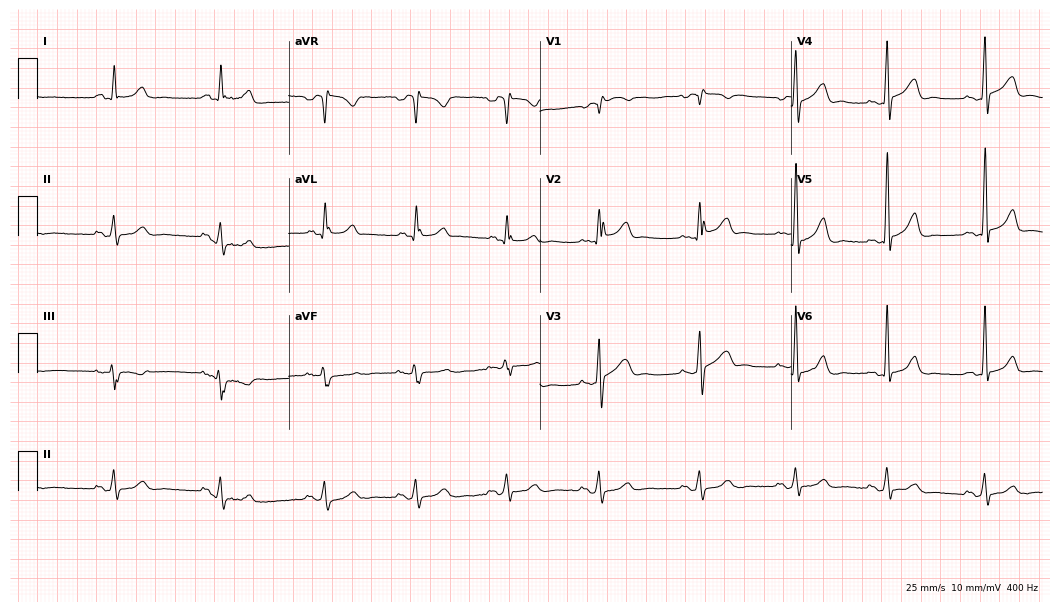
Electrocardiogram (10.2-second recording at 400 Hz), a male patient, 37 years old. Of the six screened findings (first-degree AV block, right bundle branch block (RBBB), left bundle branch block (LBBB), sinus bradycardia, atrial fibrillation (AF), sinus tachycardia), none is recorded.